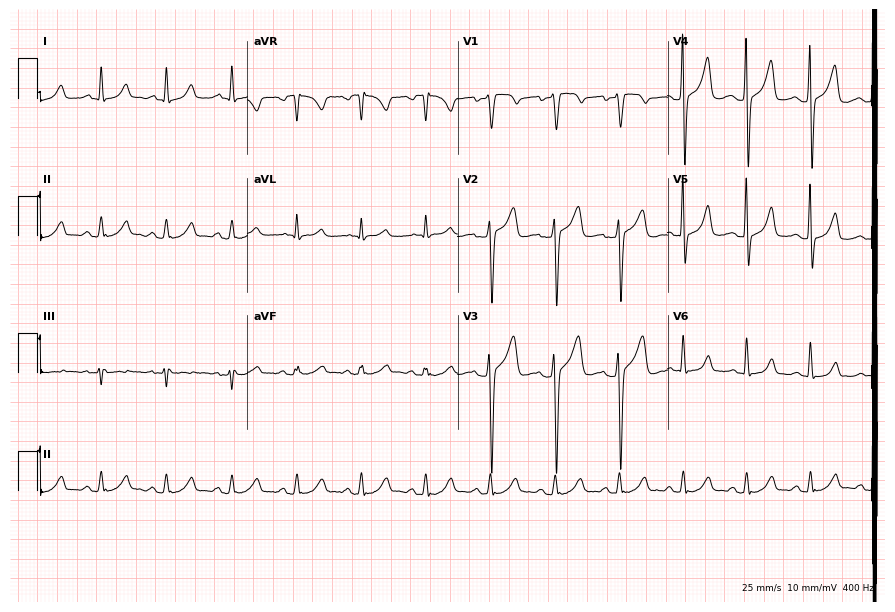
ECG — a male patient, 36 years old. Screened for six findings — first-degree AV block, right bundle branch block, left bundle branch block, sinus bradycardia, atrial fibrillation, sinus tachycardia — none is recorded. Only these six findings were labelled.